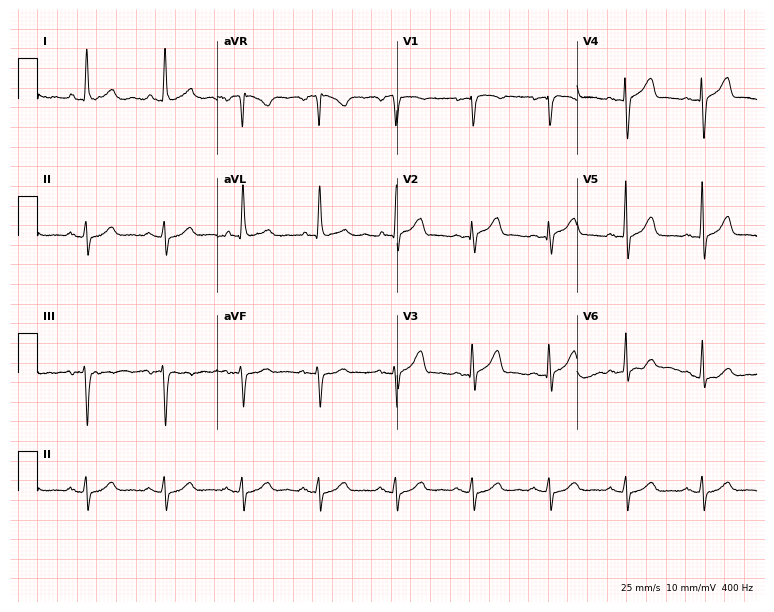
Resting 12-lead electrocardiogram. Patient: a female, 78 years old. None of these six findings is recorded: first-degree AV block, right bundle branch block (RBBB), left bundle branch block (LBBB), sinus bradycardia, atrial fibrillation (AF), sinus tachycardia.